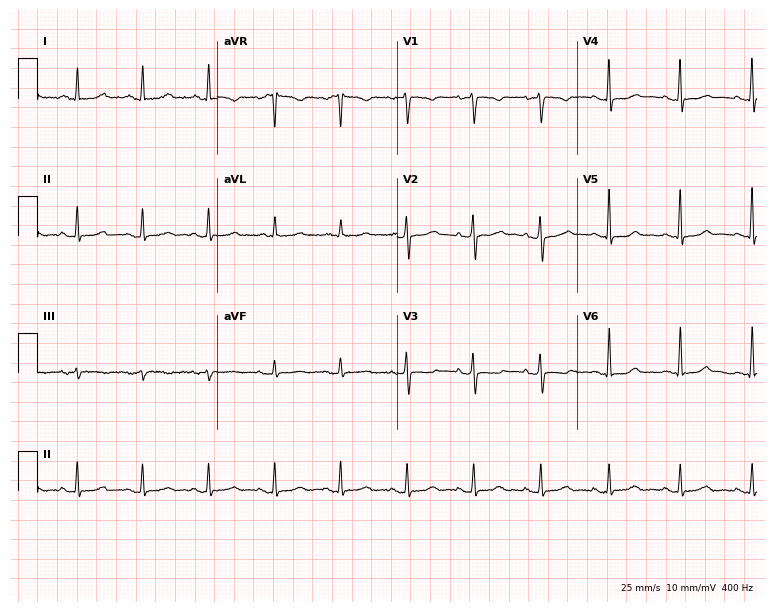
Resting 12-lead electrocardiogram. Patient: a female, 53 years old. None of these six findings is recorded: first-degree AV block, right bundle branch block, left bundle branch block, sinus bradycardia, atrial fibrillation, sinus tachycardia.